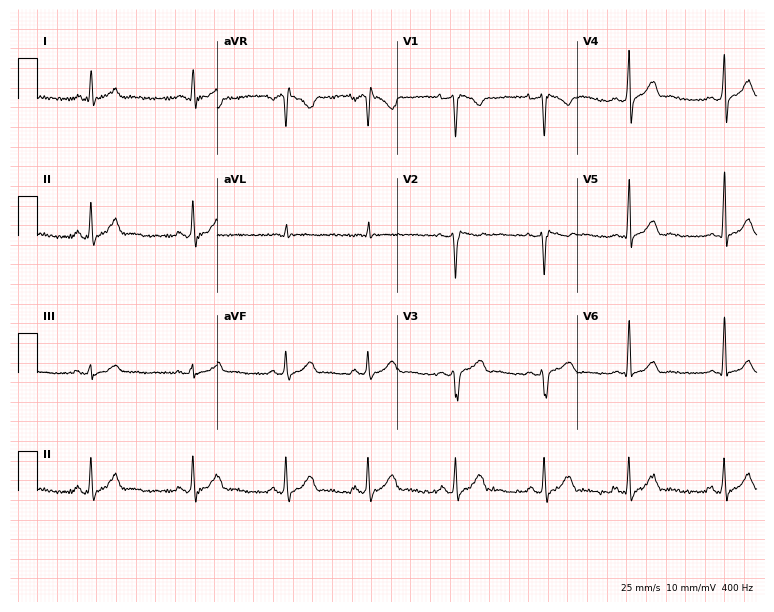
ECG — a 29-year-old woman. Screened for six findings — first-degree AV block, right bundle branch block, left bundle branch block, sinus bradycardia, atrial fibrillation, sinus tachycardia — none is recorded.